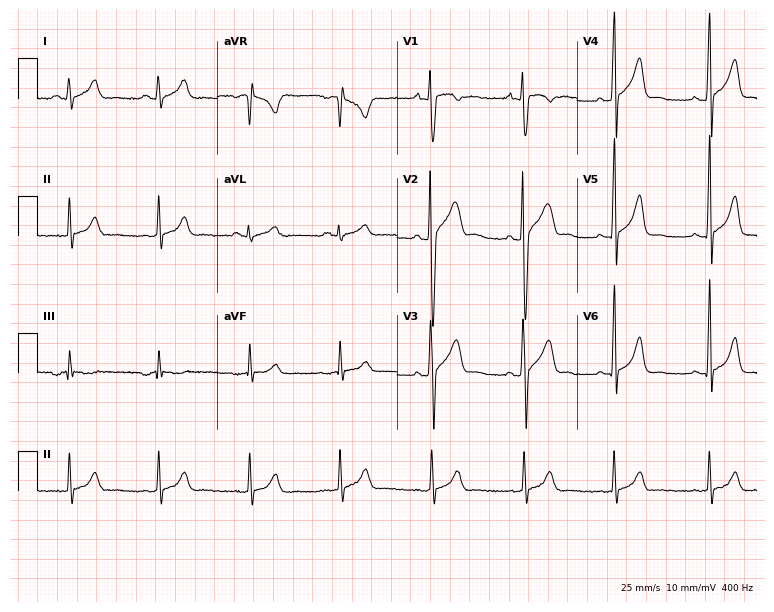
ECG (7.3-second recording at 400 Hz) — a 22-year-old man. Screened for six findings — first-degree AV block, right bundle branch block, left bundle branch block, sinus bradycardia, atrial fibrillation, sinus tachycardia — none is recorded.